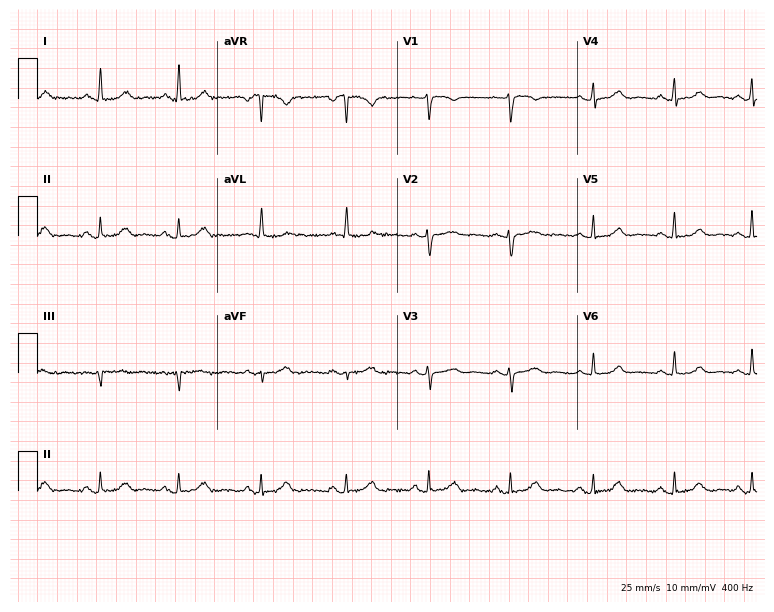
Standard 12-lead ECG recorded from a 48-year-old female patient (7.3-second recording at 400 Hz). Read as a normal ECG.